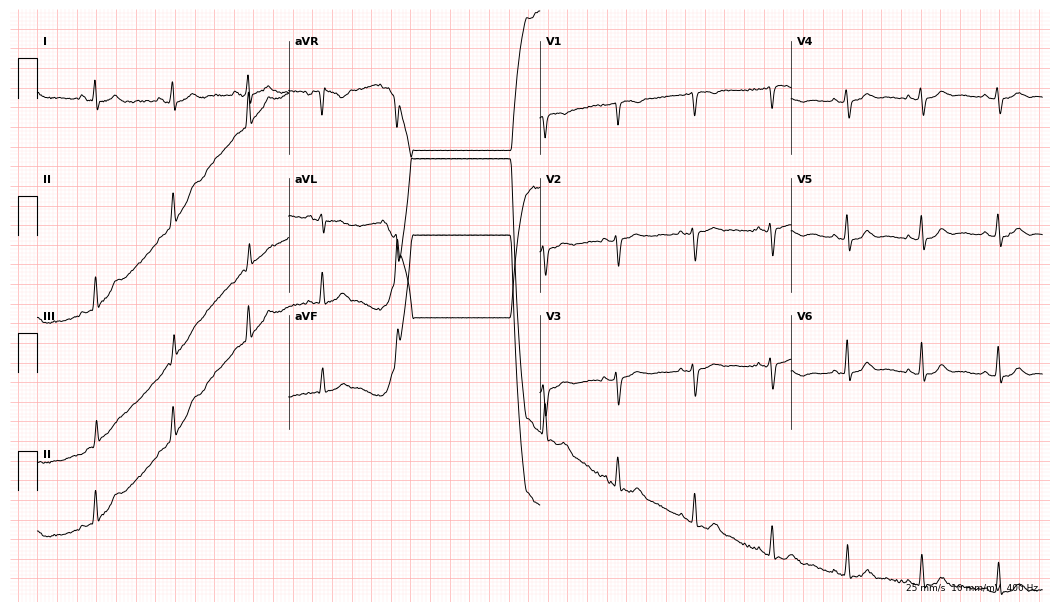
12-lead ECG (10.2-second recording at 400 Hz) from a 47-year-old female patient. Labelled as a normal ECG.